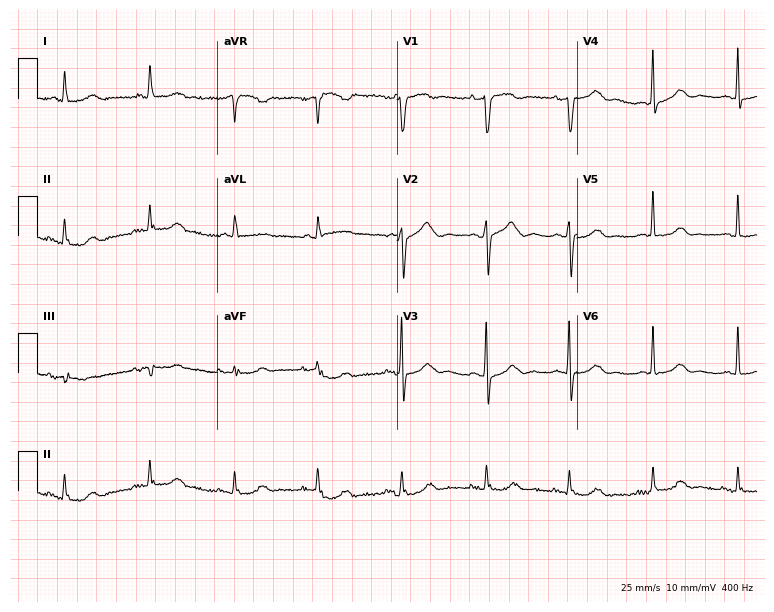
12-lead ECG (7.3-second recording at 400 Hz) from a female, 67 years old. Screened for six findings — first-degree AV block, right bundle branch block, left bundle branch block, sinus bradycardia, atrial fibrillation, sinus tachycardia — none is recorded.